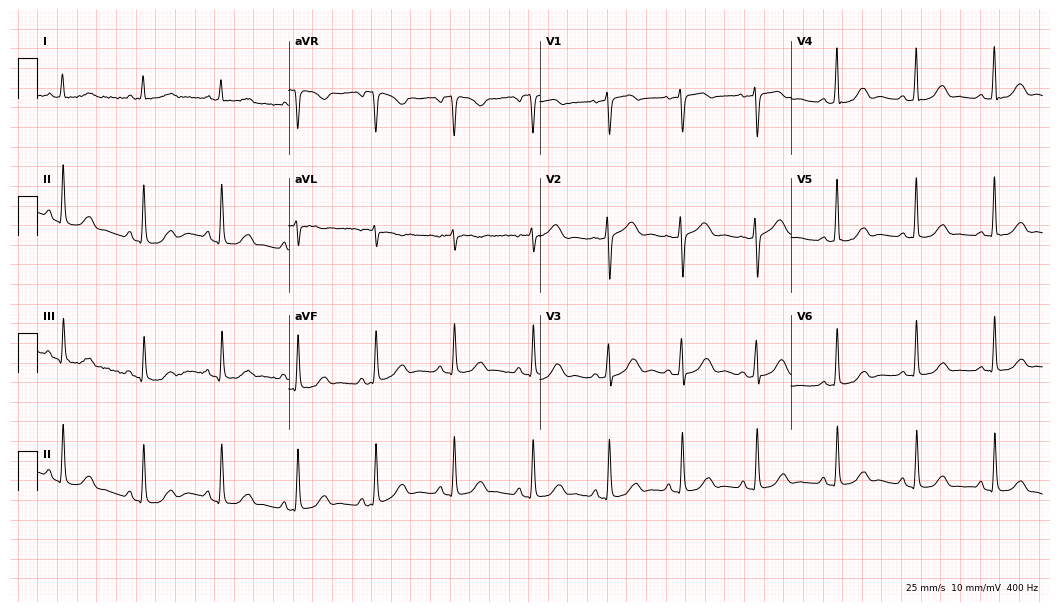
Electrocardiogram (10.2-second recording at 400 Hz), a woman, 66 years old. Overall reading on record: normal ECG.